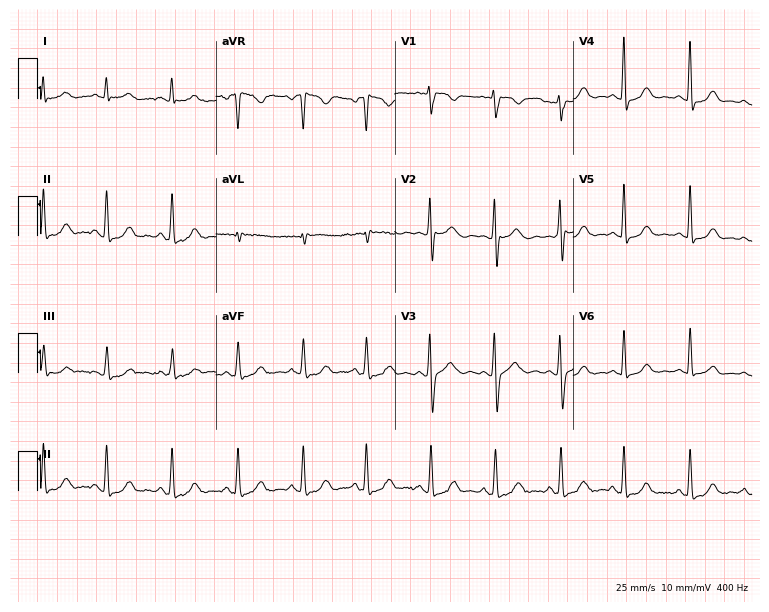
Standard 12-lead ECG recorded from a 39-year-old female patient. None of these six findings is recorded: first-degree AV block, right bundle branch block, left bundle branch block, sinus bradycardia, atrial fibrillation, sinus tachycardia.